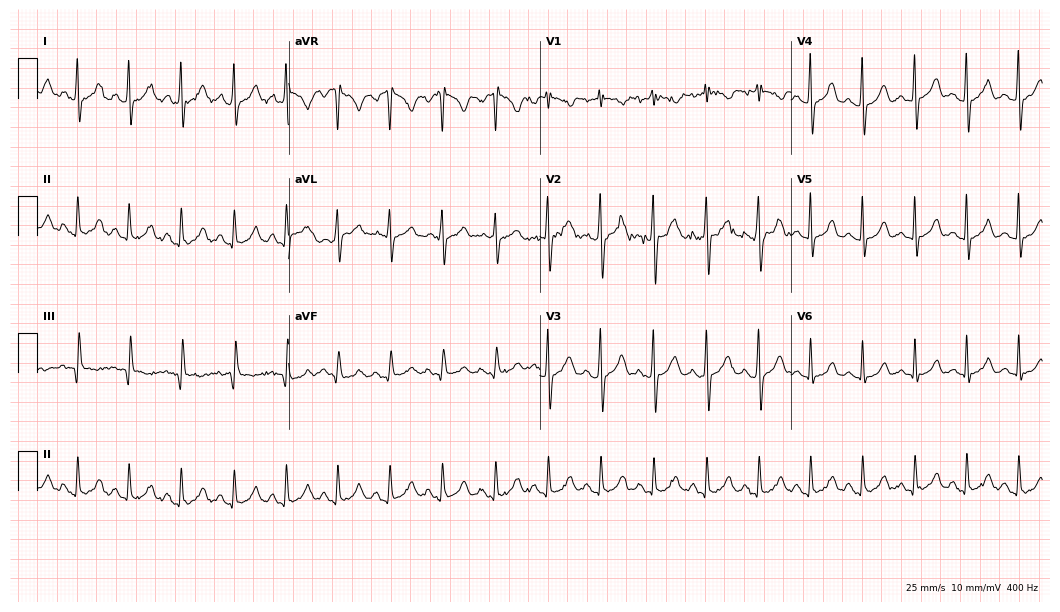
12-lead ECG from a female, 22 years old. Shows sinus tachycardia (a sinus rate of 100 beats per minute or more).